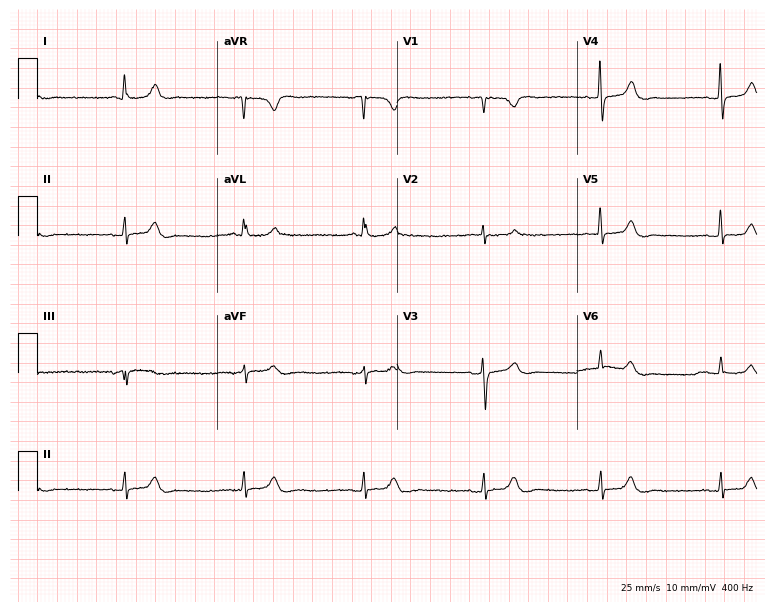
Standard 12-lead ECG recorded from a female patient, 84 years old (7.3-second recording at 400 Hz). Read as a normal ECG.